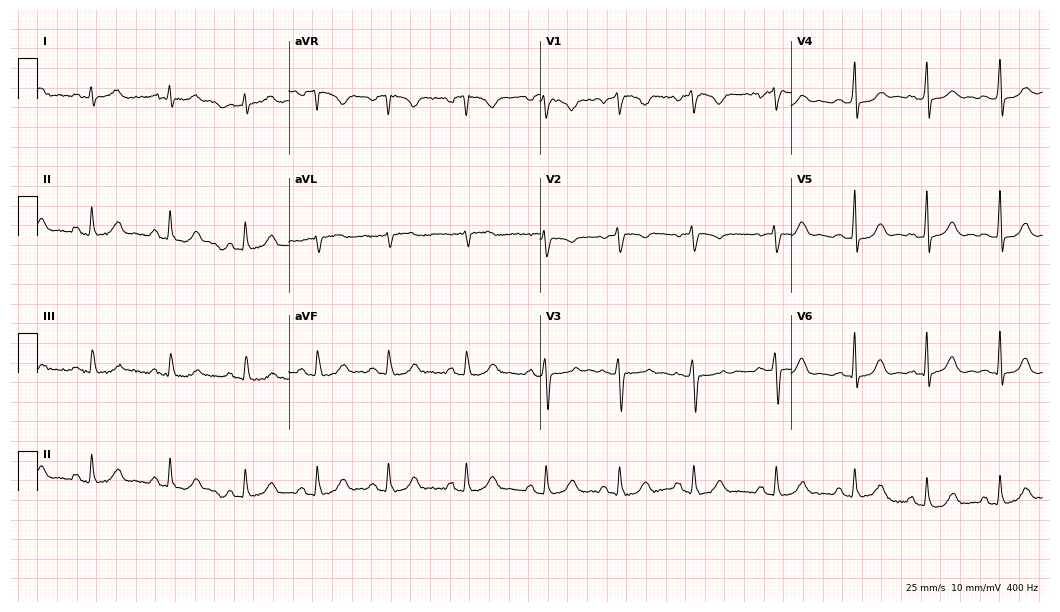
Electrocardiogram (10.2-second recording at 400 Hz), a 28-year-old female patient. Of the six screened findings (first-degree AV block, right bundle branch block (RBBB), left bundle branch block (LBBB), sinus bradycardia, atrial fibrillation (AF), sinus tachycardia), none is recorded.